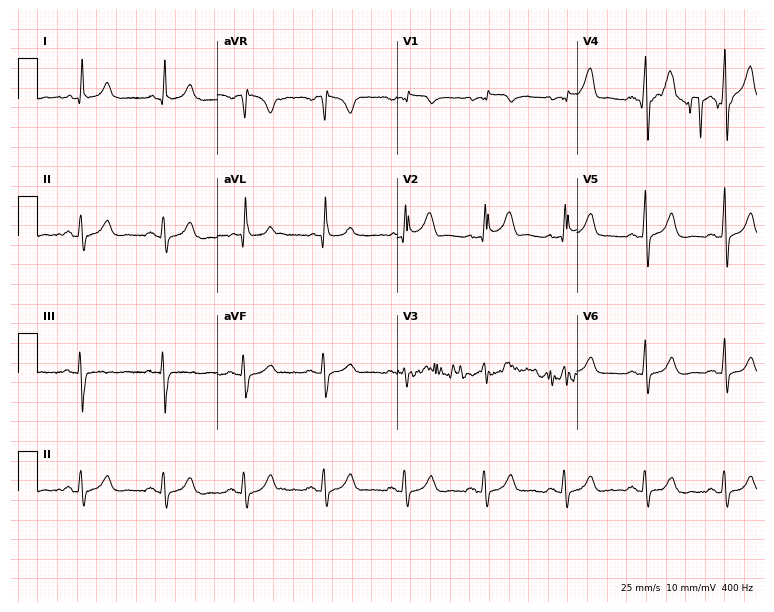
Resting 12-lead electrocardiogram. Patient: a 41-year-old man. Read as a normal ECG.